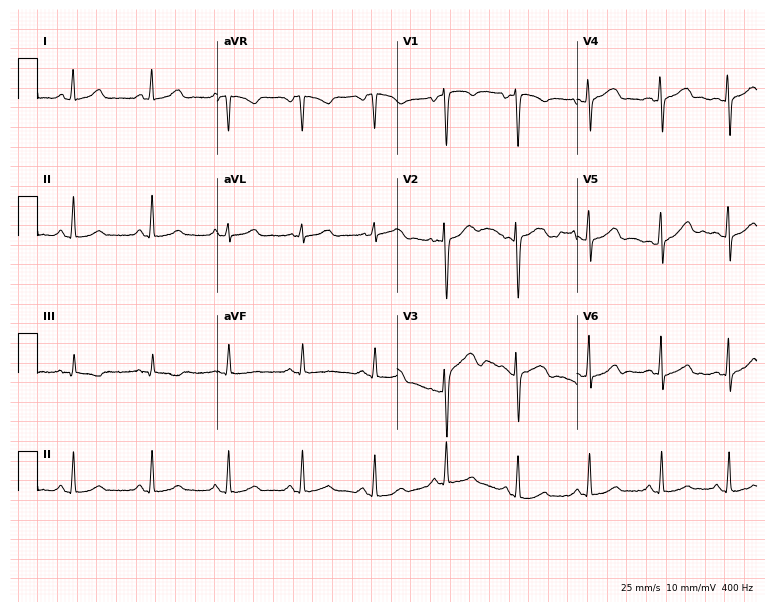
Resting 12-lead electrocardiogram. Patient: a 35-year-old woman. Read as a normal ECG.